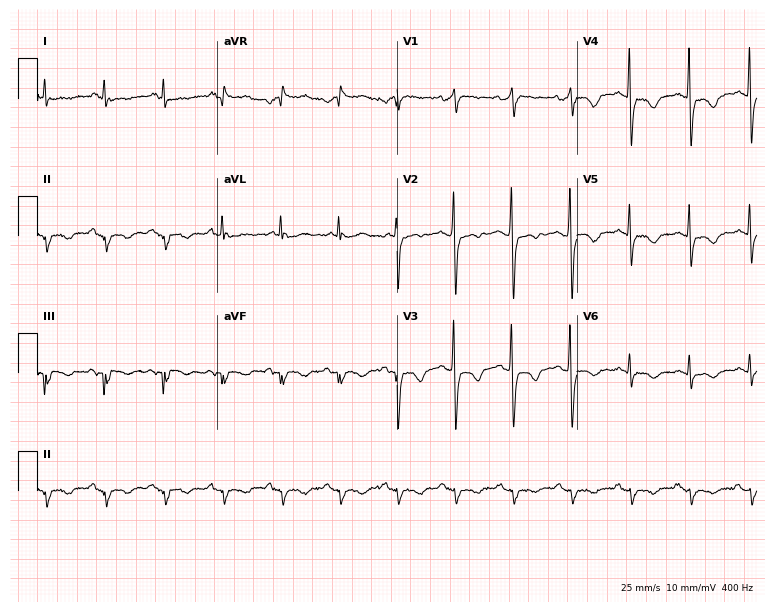
ECG (7.3-second recording at 400 Hz) — a 73-year-old woman. Screened for six findings — first-degree AV block, right bundle branch block, left bundle branch block, sinus bradycardia, atrial fibrillation, sinus tachycardia — none is recorded.